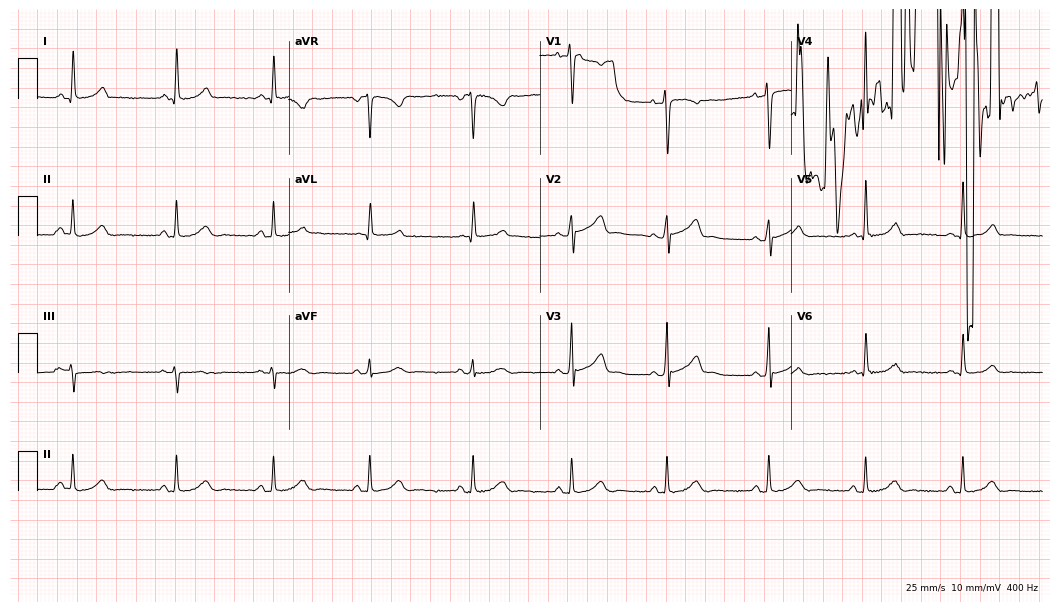
Electrocardiogram (10.2-second recording at 400 Hz), a female, 39 years old. Of the six screened findings (first-degree AV block, right bundle branch block (RBBB), left bundle branch block (LBBB), sinus bradycardia, atrial fibrillation (AF), sinus tachycardia), none is recorded.